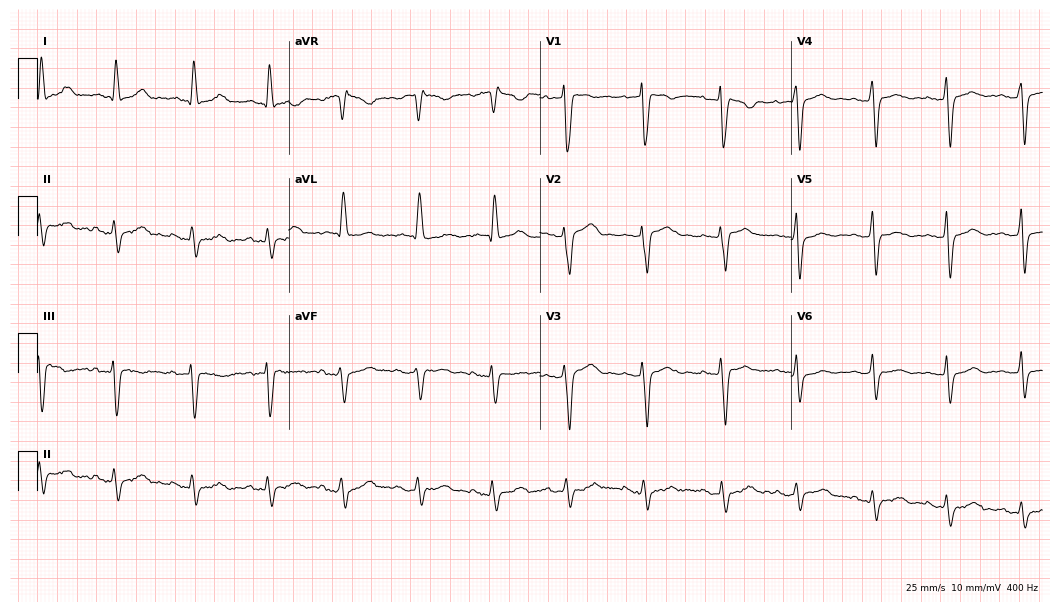
Electrocardiogram (10.2-second recording at 400 Hz), a man, 49 years old. Of the six screened findings (first-degree AV block, right bundle branch block, left bundle branch block, sinus bradycardia, atrial fibrillation, sinus tachycardia), none is recorded.